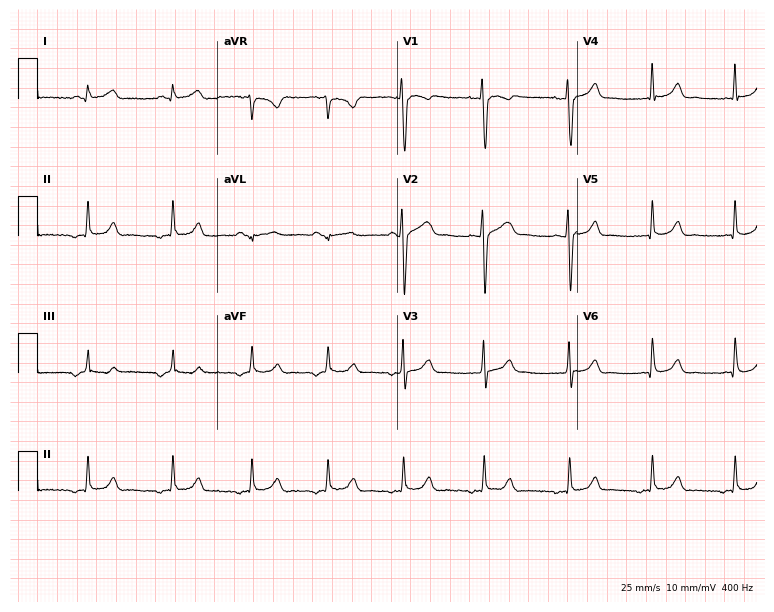
ECG — a woman, 20 years old. Labelled as a normal ECG.